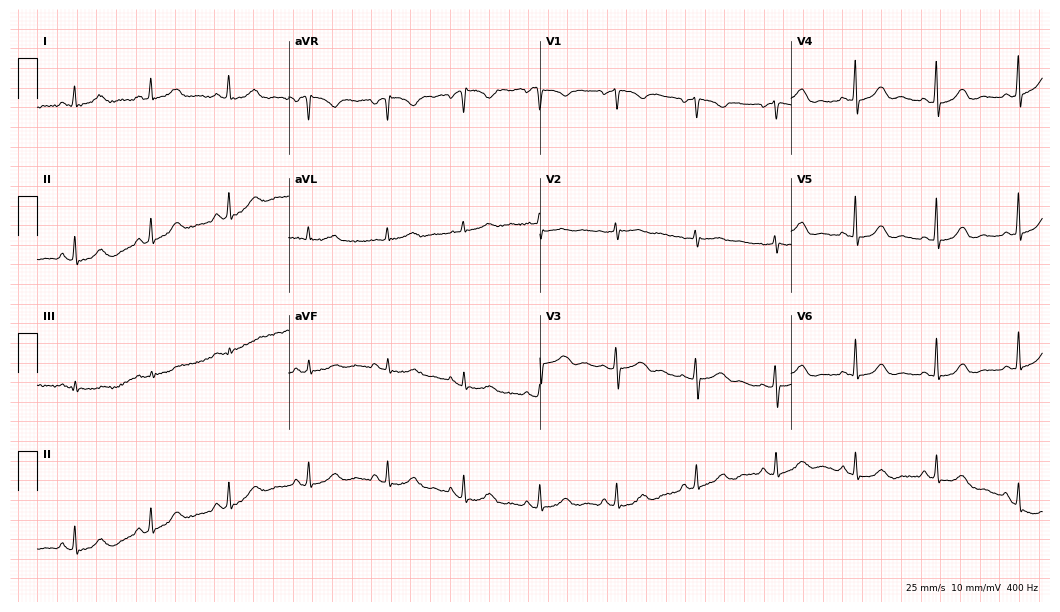
12-lead ECG from a female patient, 50 years old. Labelled as a normal ECG.